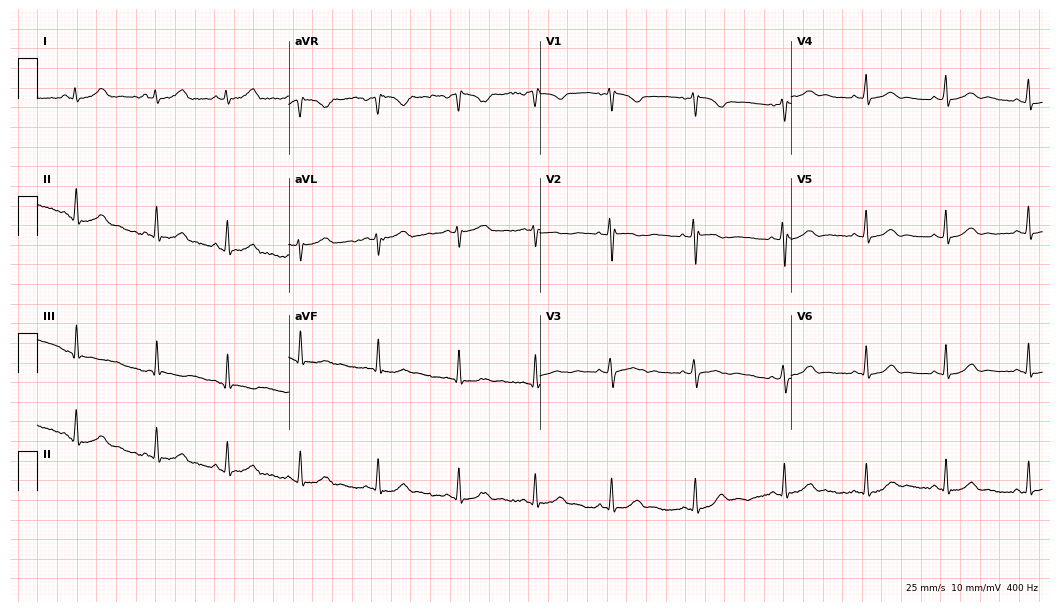
12-lead ECG from a 31-year-old female. No first-degree AV block, right bundle branch block, left bundle branch block, sinus bradycardia, atrial fibrillation or sinus tachycardia recorded for this tracing. Findings outside these six are not listed.